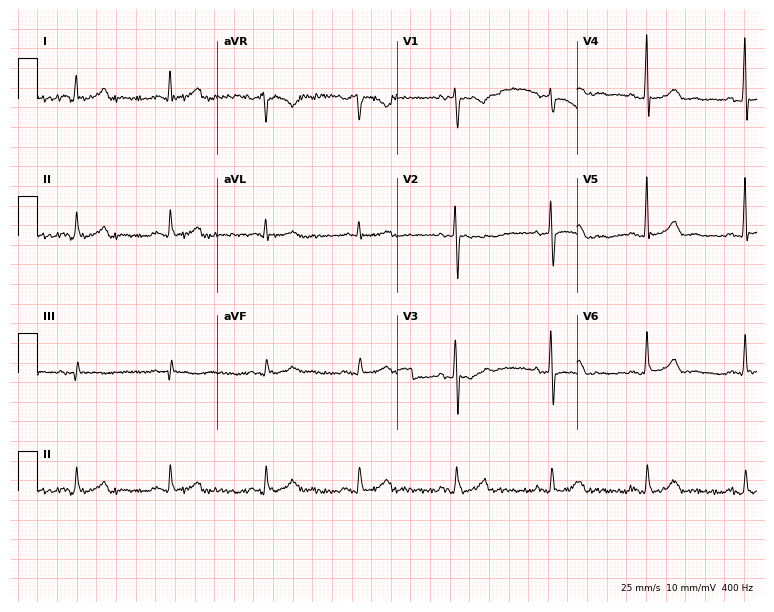
12-lead ECG from a male, 70 years old (7.3-second recording at 400 Hz). Recorded interpretation: within normal limits.